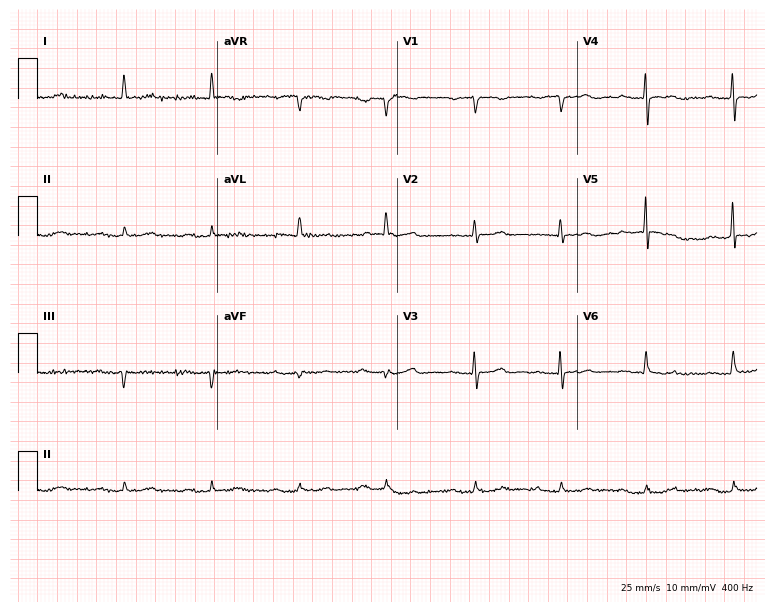
12-lead ECG from a male, 78 years old (7.3-second recording at 400 Hz). Shows first-degree AV block.